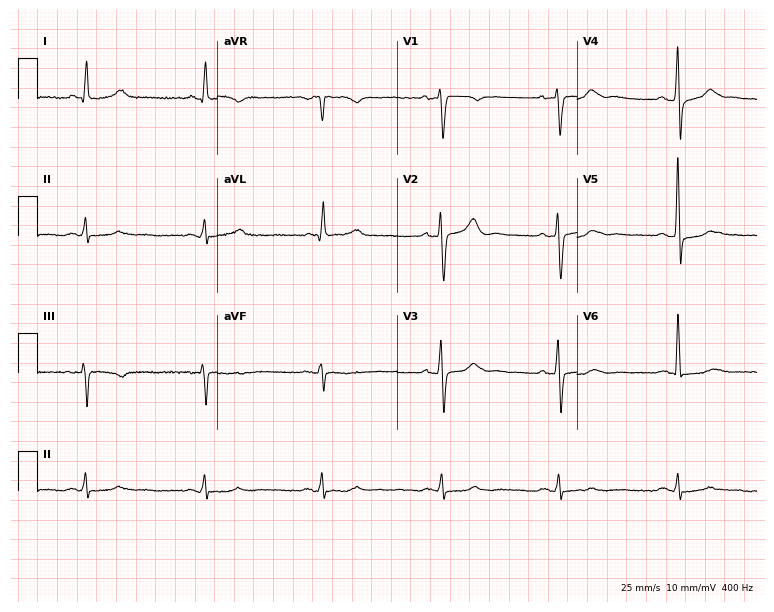
Resting 12-lead electrocardiogram (7.3-second recording at 400 Hz). Patient: a male, 63 years old. The tracing shows sinus bradycardia (a sinus rate of 50 beats per minute or less).